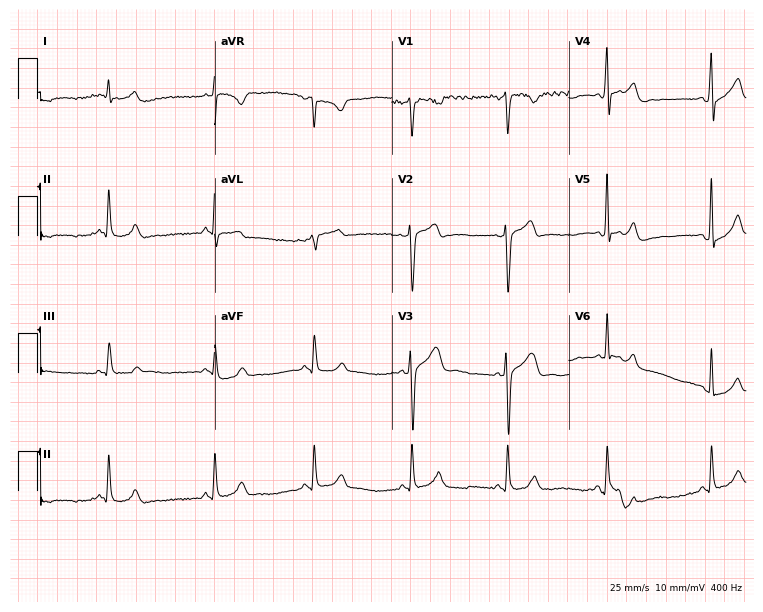
ECG (7.2-second recording at 400 Hz) — a male, 29 years old. Screened for six findings — first-degree AV block, right bundle branch block, left bundle branch block, sinus bradycardia, atrial fibrillation, sinus tachycardia — none is recorded.